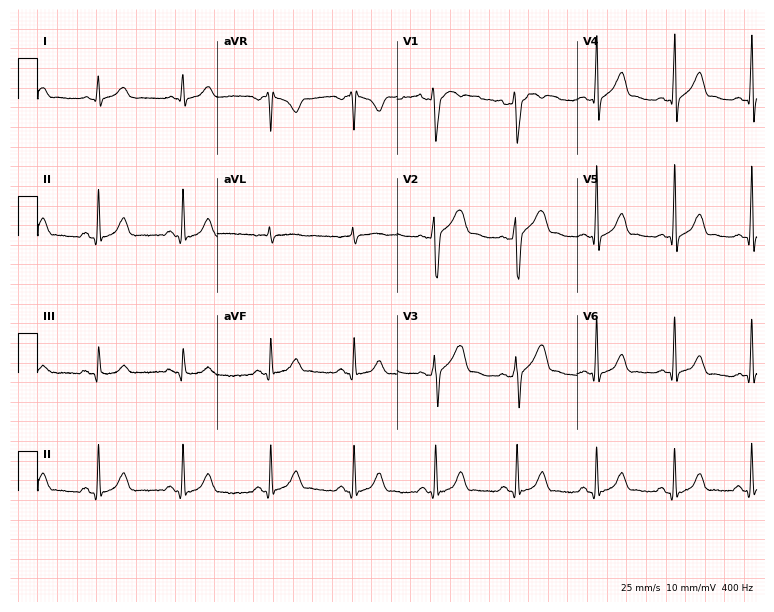
Resting 12-lead electrocardiogram. Patient: a male, 23 years old. Read as a normal ECG.